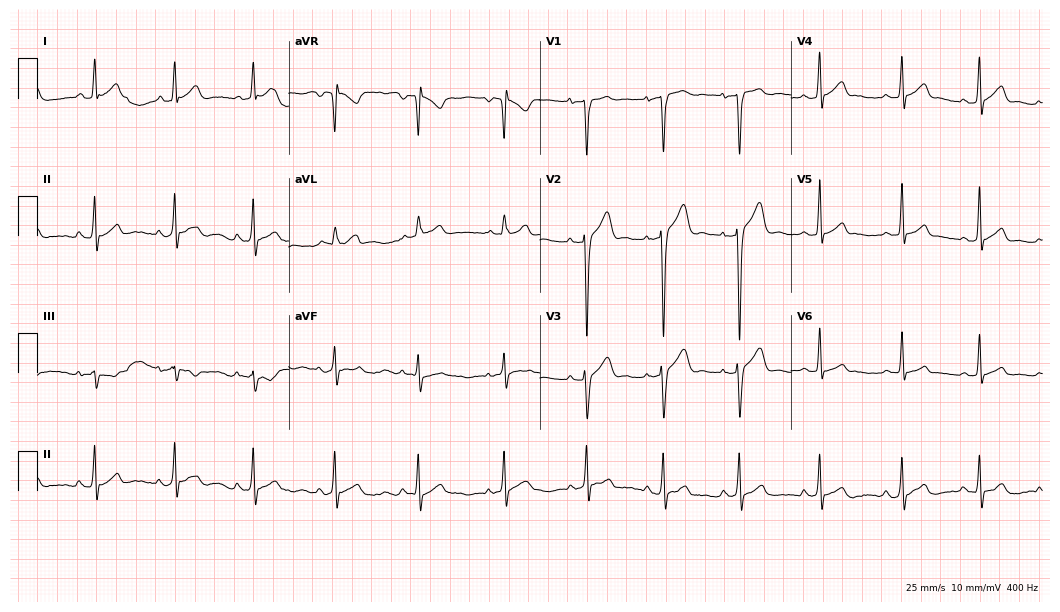
ECG — a male, 19 years old. Labelled as a normal ECG.